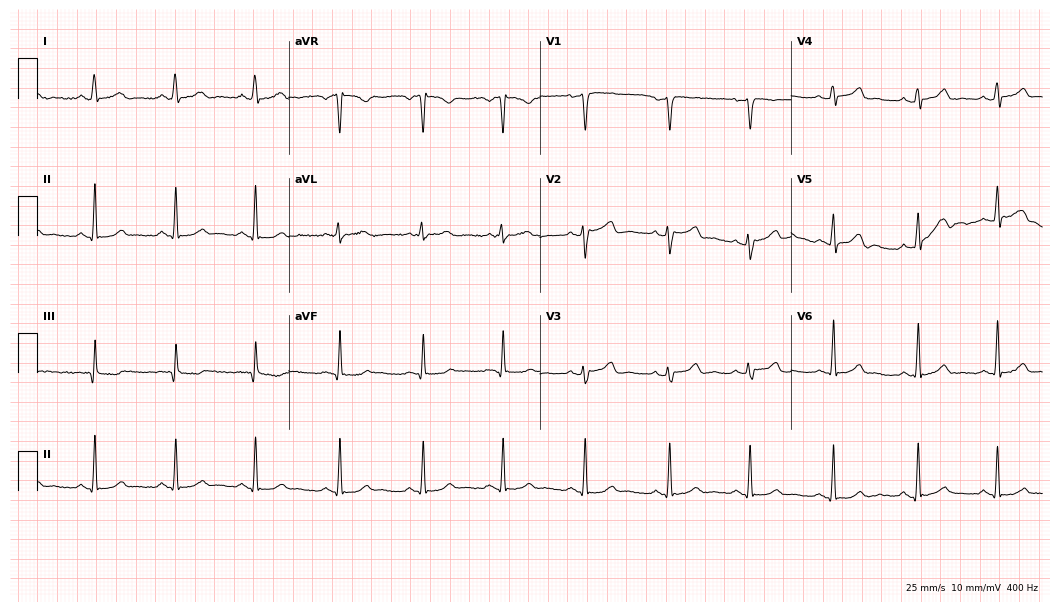
12-lead ECG from a female patient, 37 years old. Recorded interpretation: within normal limits.